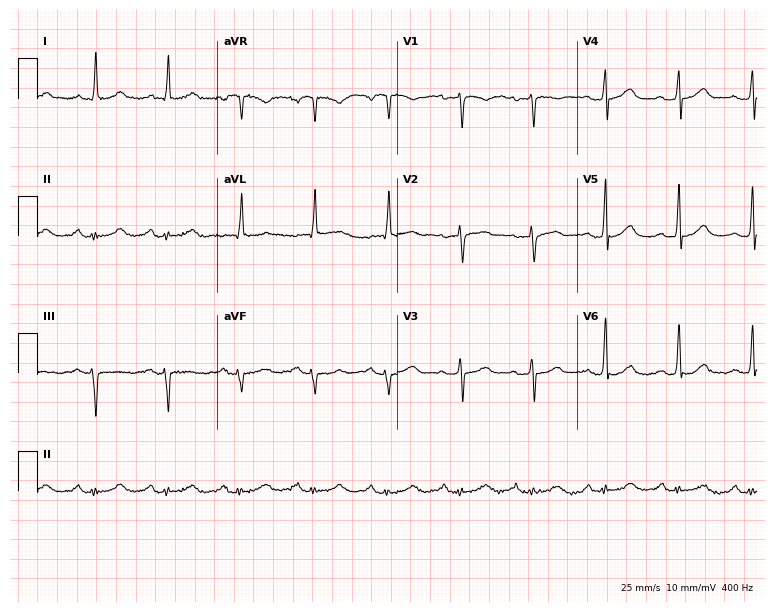
Standard 12-lead ECG recorded from a 74-year-old woman (7.3-second recording at 400 Hz). Read as a normal ECG.